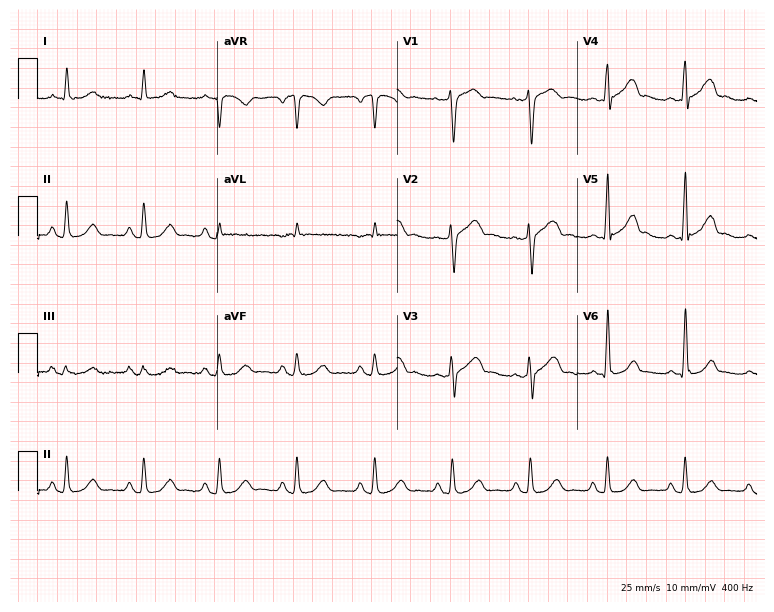
ECG — a 55-year-old male patient. Labelled as a normal ECG.